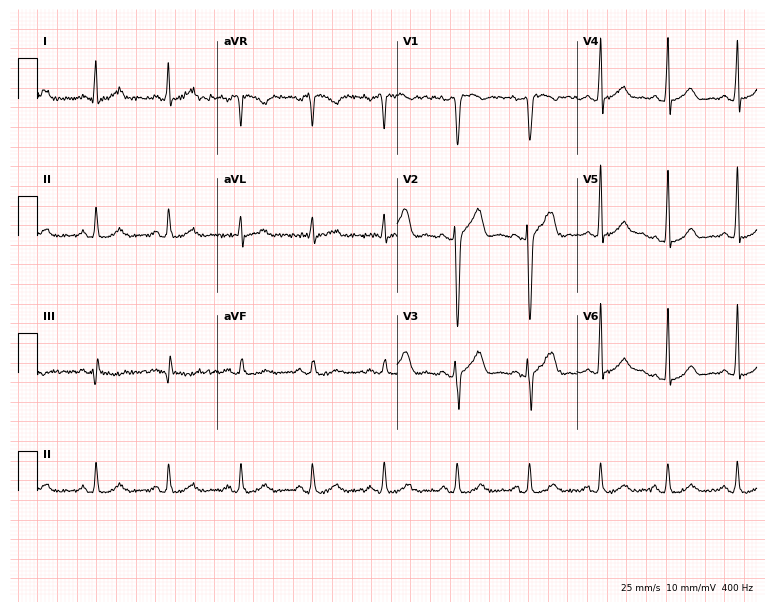
Resting 12-lead electrocardiogram. Patient: a 29-year-old male. None of these six findings is recorded: first-degree AV block, right bundle branch block (RBBB), left bundle branch block (LBBB), sinus bradycardia, atrial fibrillation (AF), sinus tachycardia.